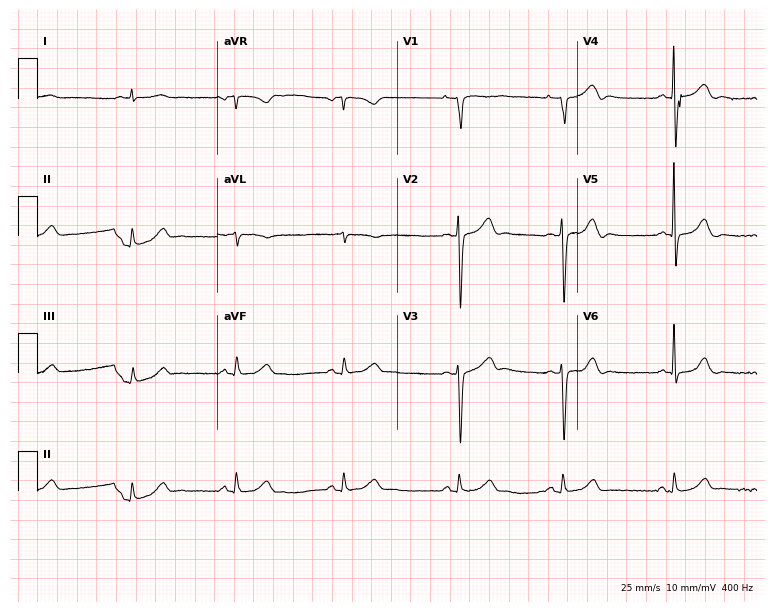
Resting 12-lead electrocardiogram. Patient: a 45-year-old male. Read as a normal ECG.